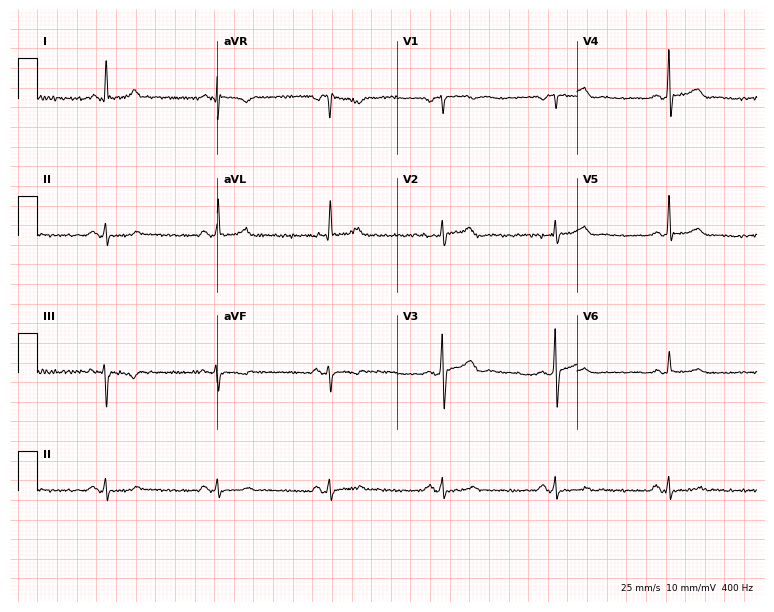
12-lead ECG (7.3-second recording at 400 Hz) from a male, 48 years old. Labelled as a normal ECG.